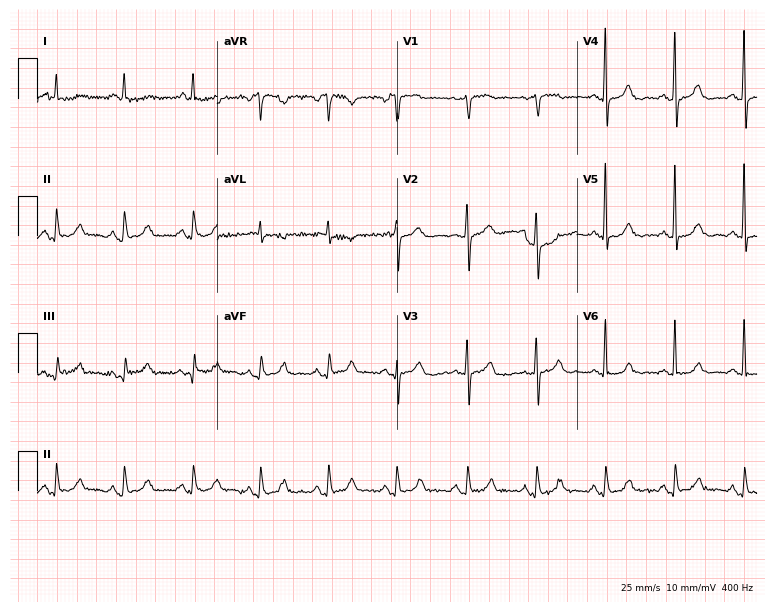
Resting 12-lead electrocardiogram. Patient: a female, 81 years old. Read as a normal ECG.